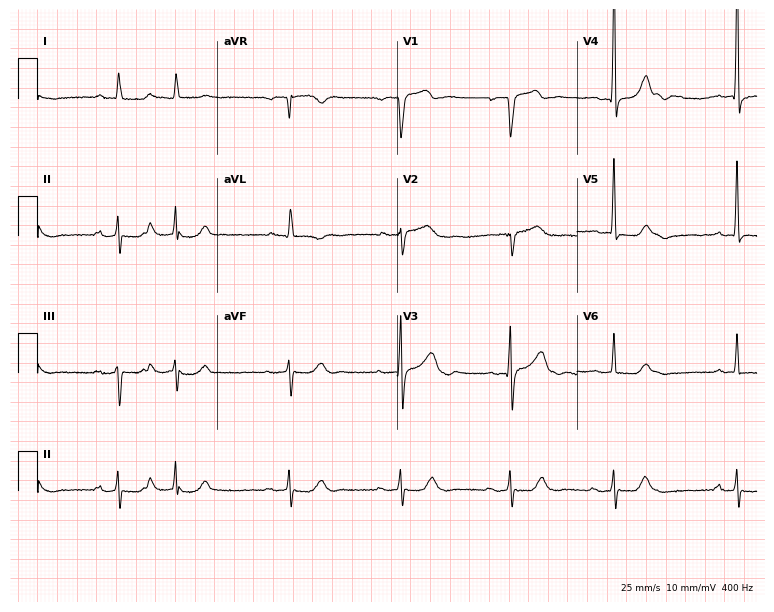
Electrocardiogram, a man, 85 years old. Overall reading on record: normal ECG.